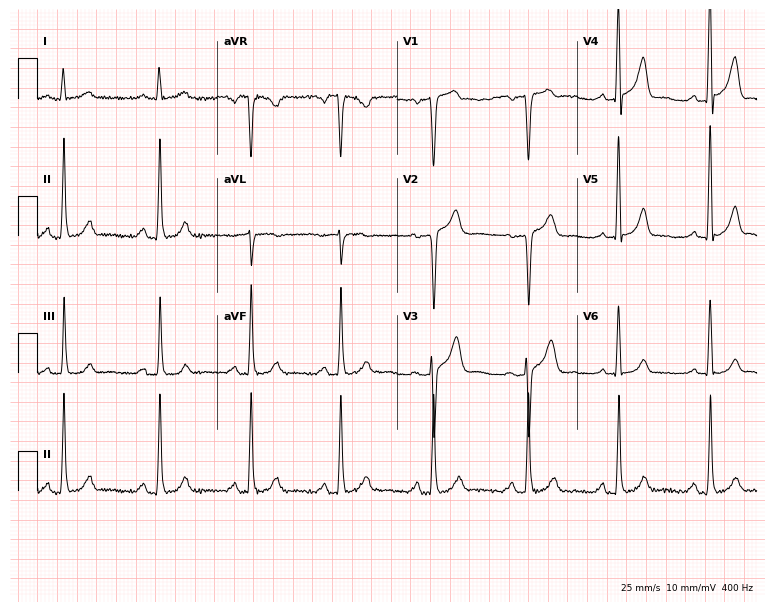
12-lead ECG from a male patient, 69 years old (7.3-second recording at 400 Hz). No first-degree AV block, right bundle branch block (RBBB), left bundle branch block (LBBB), sinus bradycardia, atrial fibrillation (AF) or sinus tachycardia recorded for this tracing.